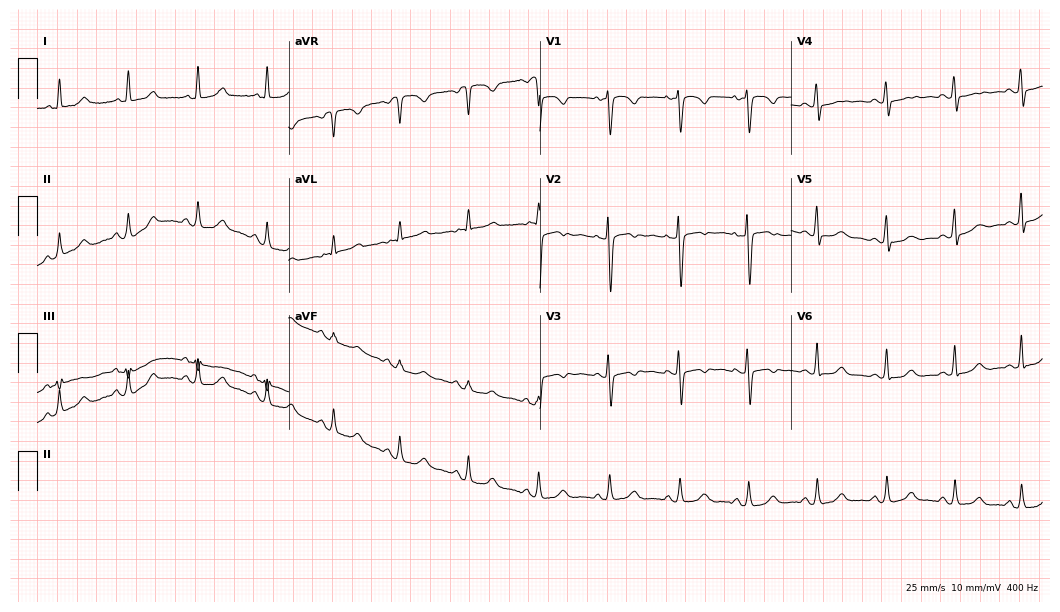
12-lead ECG (10.2-second recording at 400 Hz) from a woman, 36 years old. Labelled as a normal ECG.